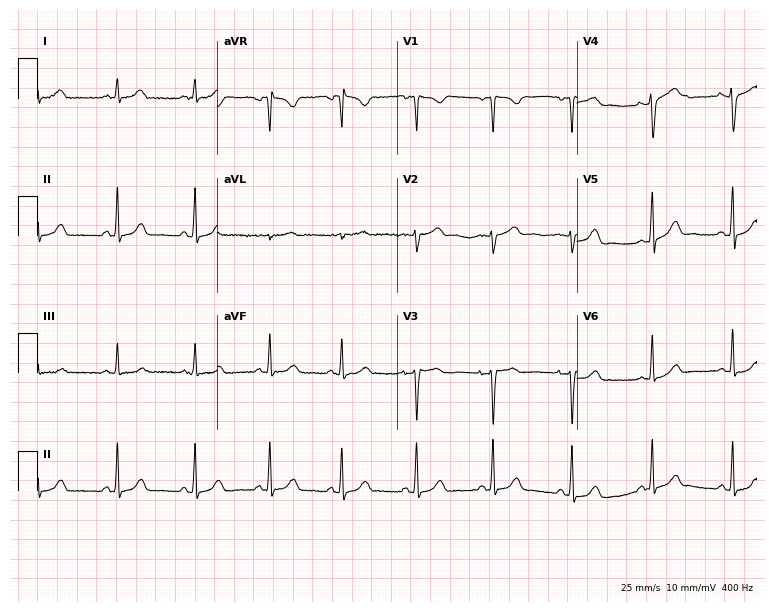
12-lead ECG from a 35-year-old woman. Labelled as a normal ECG.